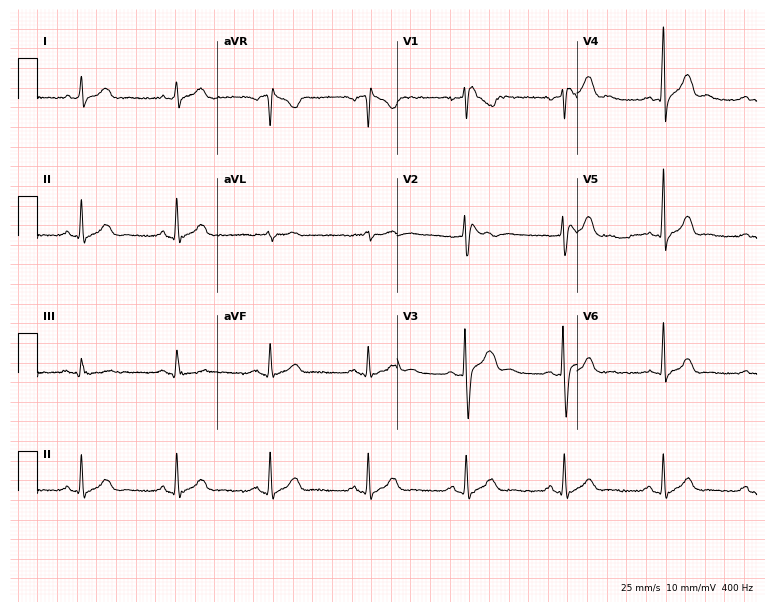
Electrocardiogram, a man, 38 years old. Overall reading on record: normal ECG.